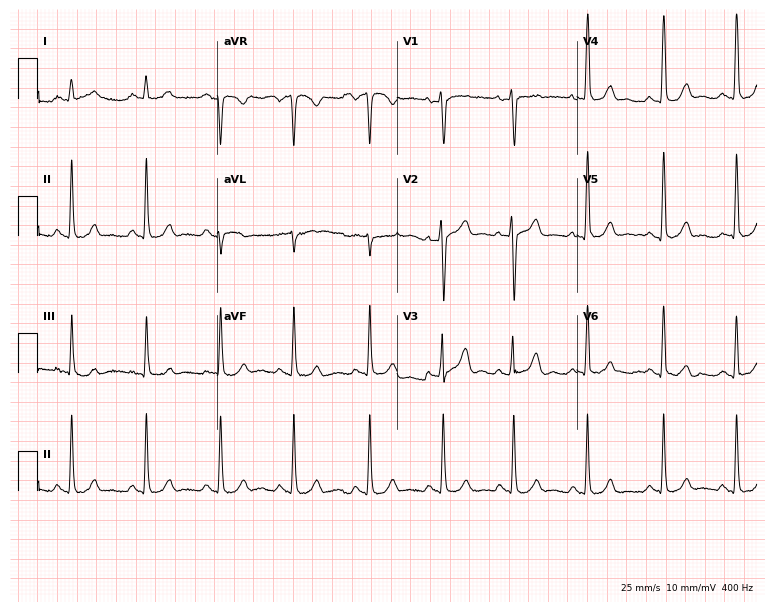
Resting 12-lead electrocardiogram (7.3-second recording at 400 Hz). Patient: a female, 22 years old. None of these six findings is recorded: first-degree AV block, right bundle branch block (RBBB), left bundle branch block (LBBB), sinus bradycardia, atrial fibrillation (AF), sinus tachycardia. Findings outside these six are not listed.